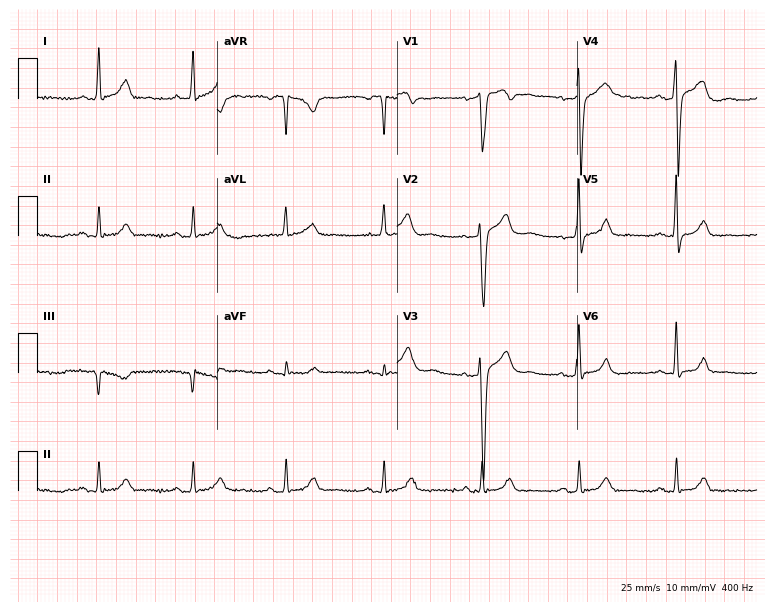
Standard 12-lead ECG recorded from a 46-year-old man. None of these six findings is recorded: first-degree AV block, right bundle branch block (RBBB), left bundle branch block (LBBB), sinus bradycardia, atrial fibrillation (AF), sinus tachycardia.